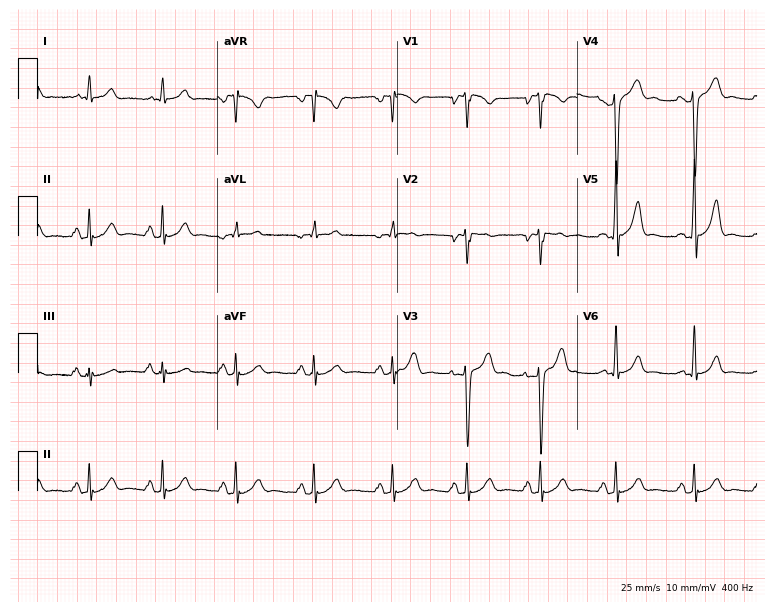
12-lead ECG (7.3-second recording at 400 Hz) from a male, 26 years old. Labelled as a normal ECG.